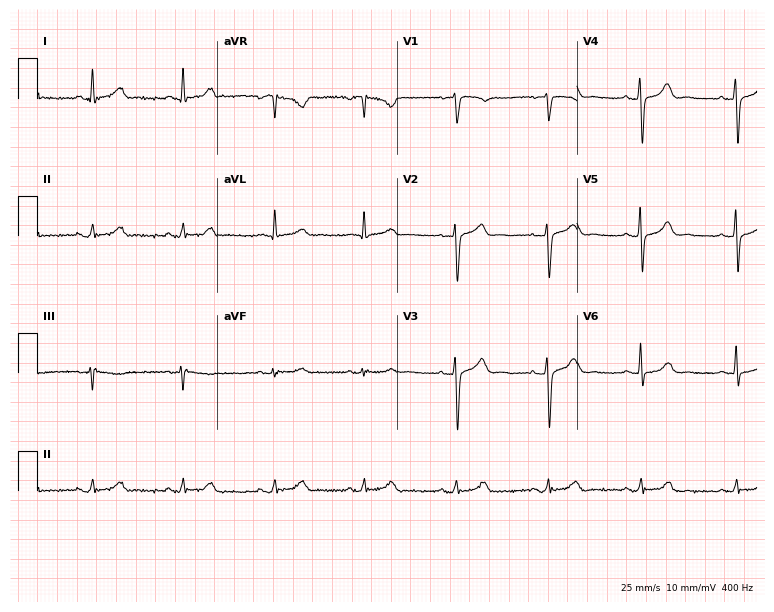
Electrocardiogram (7.3-second recording at 400 Hz), a male, 69 years old. Of the six screened findings (first-degree AV block, right bundle branch block, left bundle branch block, sinus bradycardia, atrial fibrillation, sinus tachycardia), none is recorded.